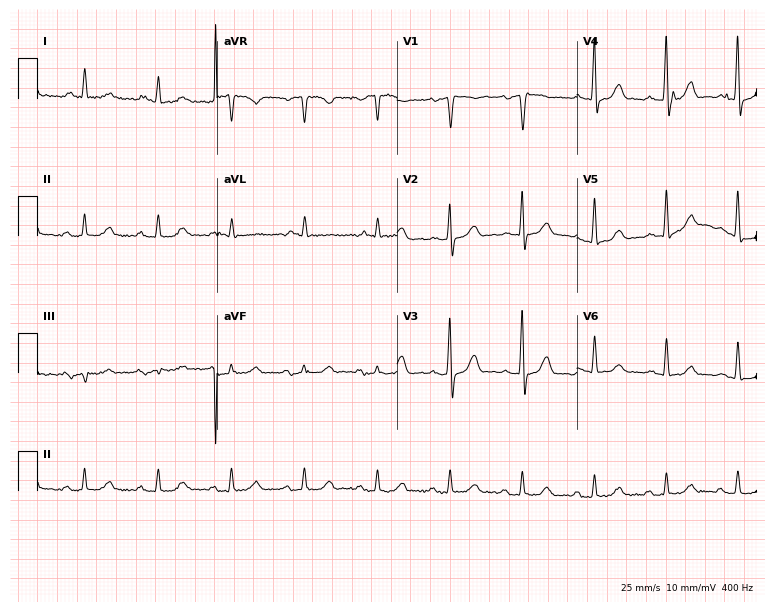
12-lead ECG from a 70-year-old man (7.3-second recording at 400 Hz). No first-degree AV block, right bundle branch block (RBBB), left bundle branch block (LBBB), sinus bradycardia, atrial fibrillation (AF) or sinus tachycardia recorded for this tracing.